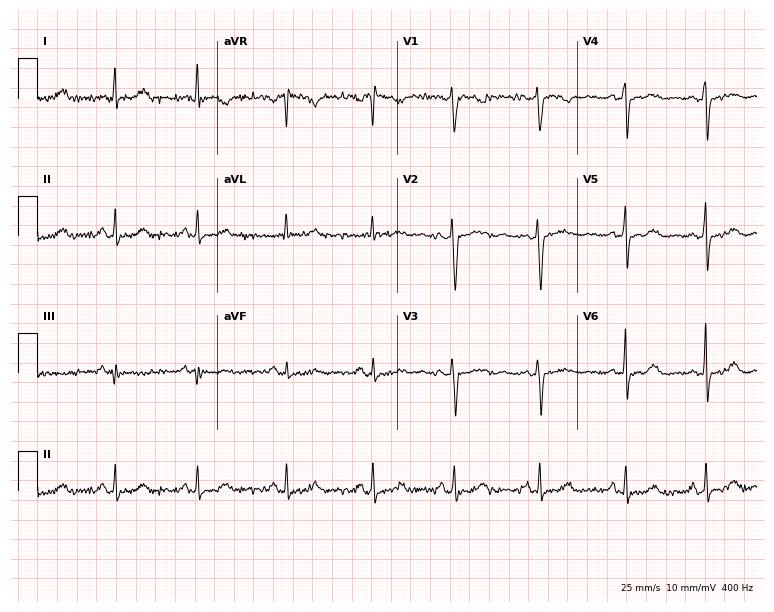
Standard 12-lead ECG recorded from a 43-year-old woman (7.3-second recording at 400 Hz). None of these six findings is recorded: first-degree AV block, right bundle branch block, left bundle branch block, sinus bradycardia, atrial fibrillation, sinus tachycardia.